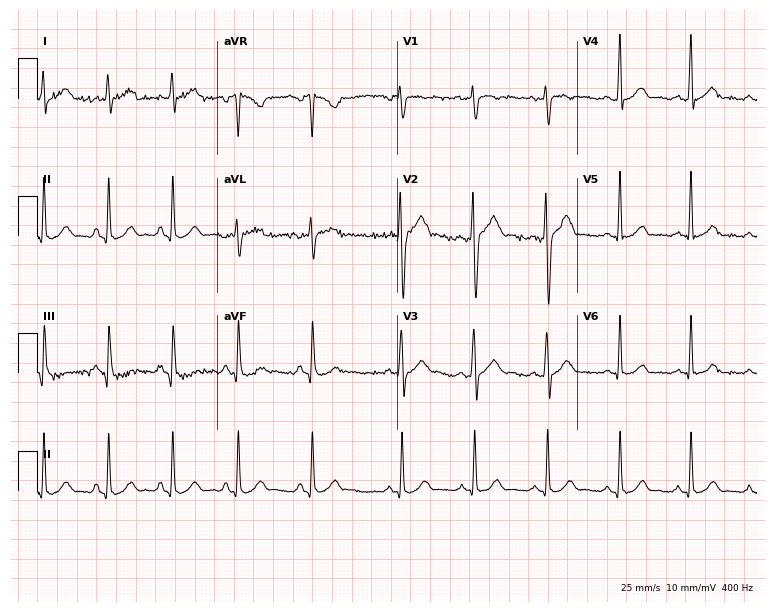
12-lead ECG from a male patient, 23 years old. Labelled as a normal ECG.